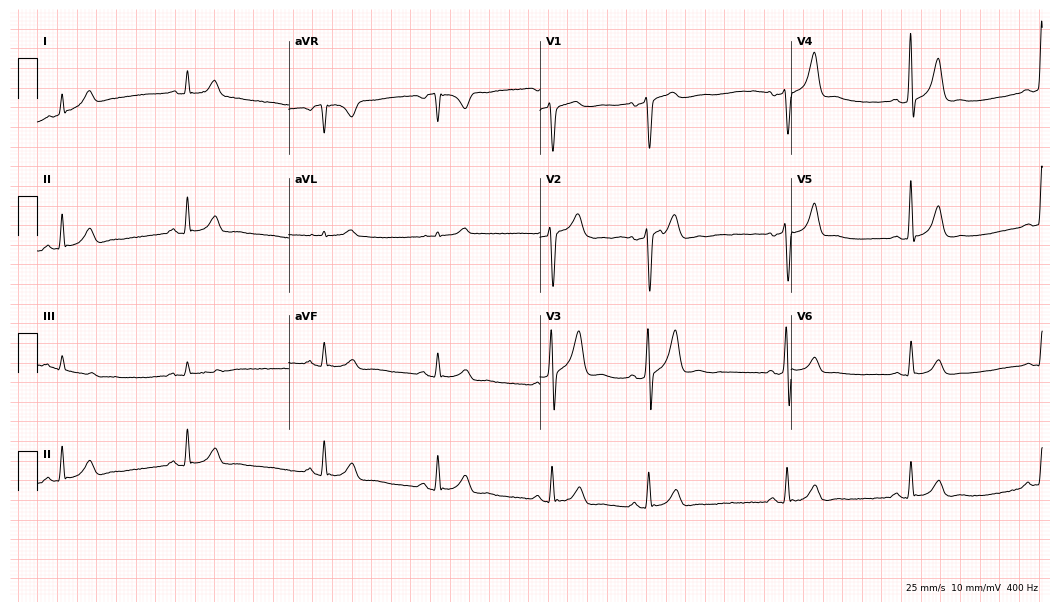
Electrocardiogram (10.2-second recording at 400 Hz), a male patient, 58 years old. Overall reading on record: normal ECG.